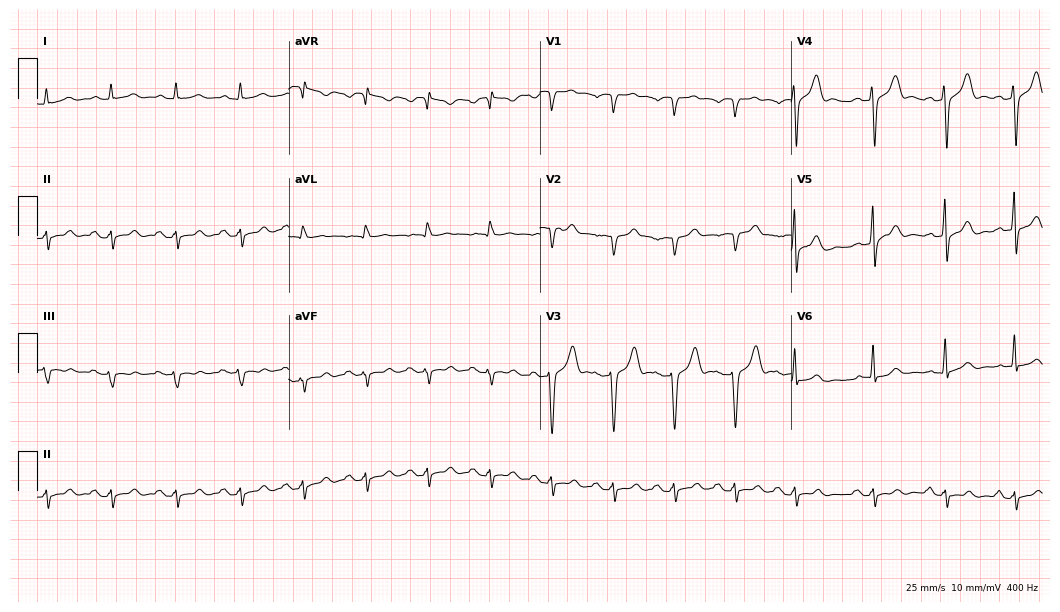
Standard 12-lead ECG recorded from a 74-year-old male patient. None of these six findings is recorded: first-degree AV block, right bundle branch block, left bundle branch block, sinus bradycardia, atrial fibrillation, sinus tachycardia.